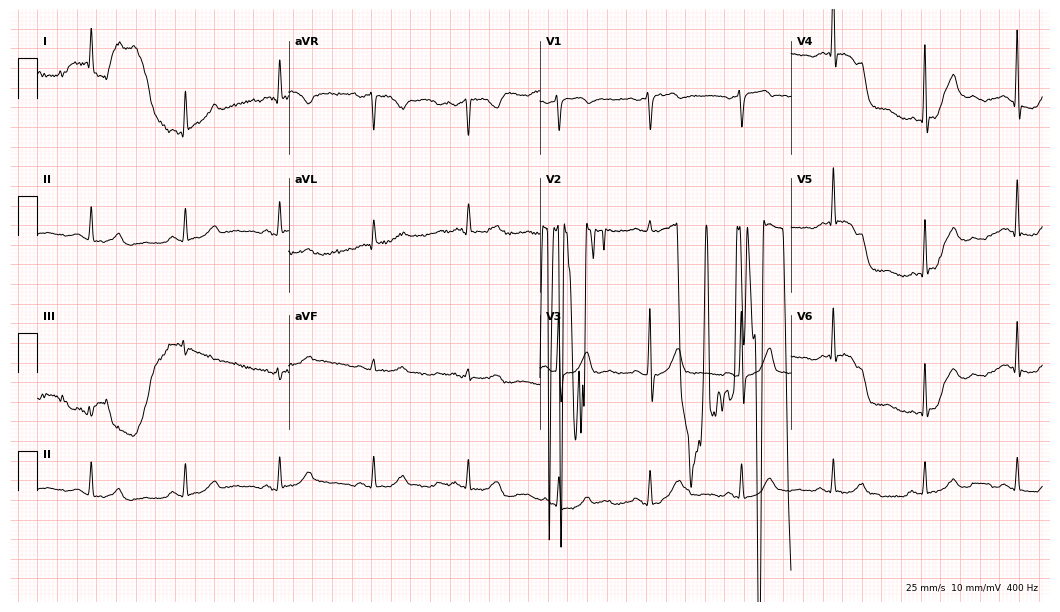
12-lead ECG from a 65-year-old man (10.2-second recording at 400 Hz). No first-degree AV block, right bundle branch block (RBBB), left bundle branch block (LBBB), sinus bradycardia, atrial fibrillation (AF) or sinus tachycardia recorded for this tracing.